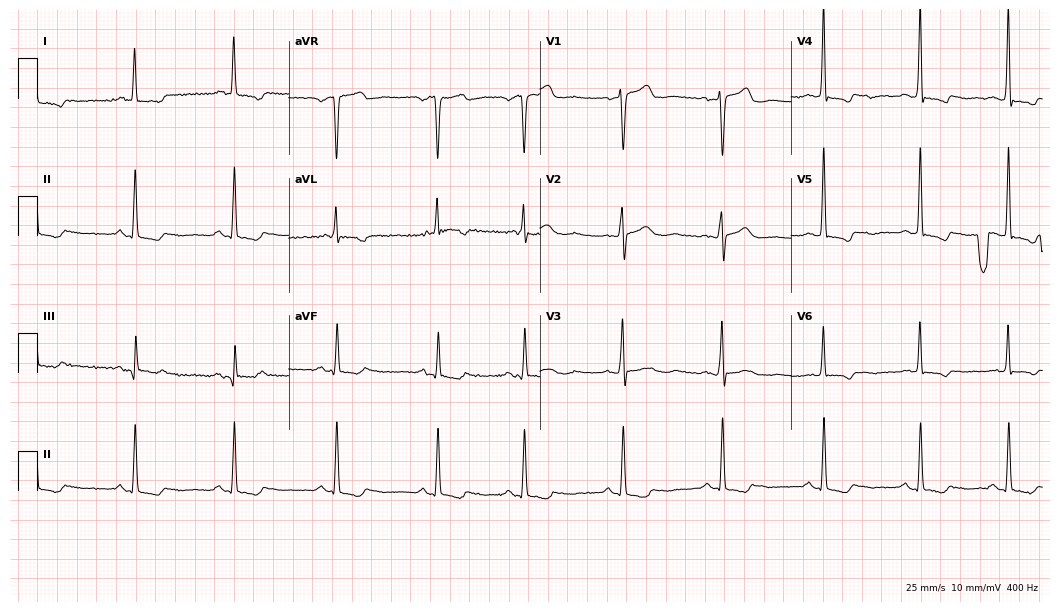
12-lead ECG from a 63-year-old female patient. Recorded interpretation: within normal limits.